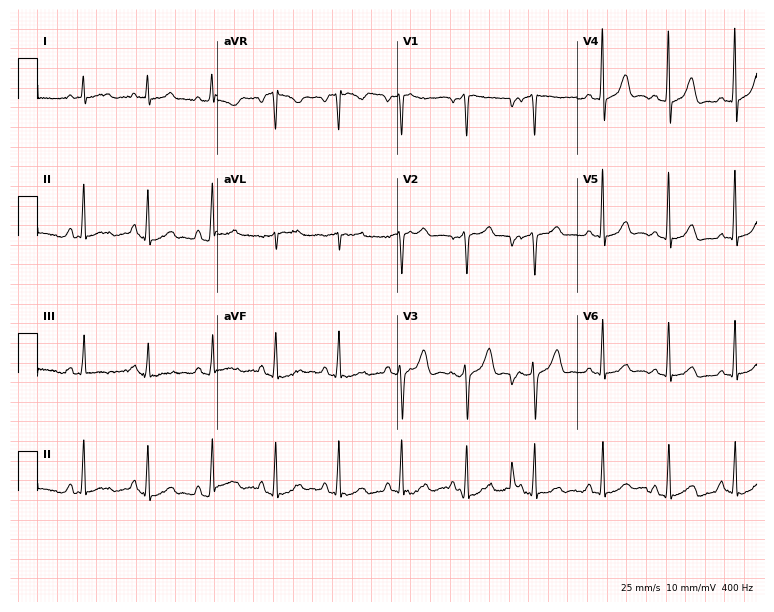
Resting 12-lead electrocardiogram. Patient: a man, 60 years old. None of these six findings is recorded: first-degree AV block, right bundle branch block, left bundle branch block, sinus bradycardia, atrial fibrillation, sinus tachycardia.